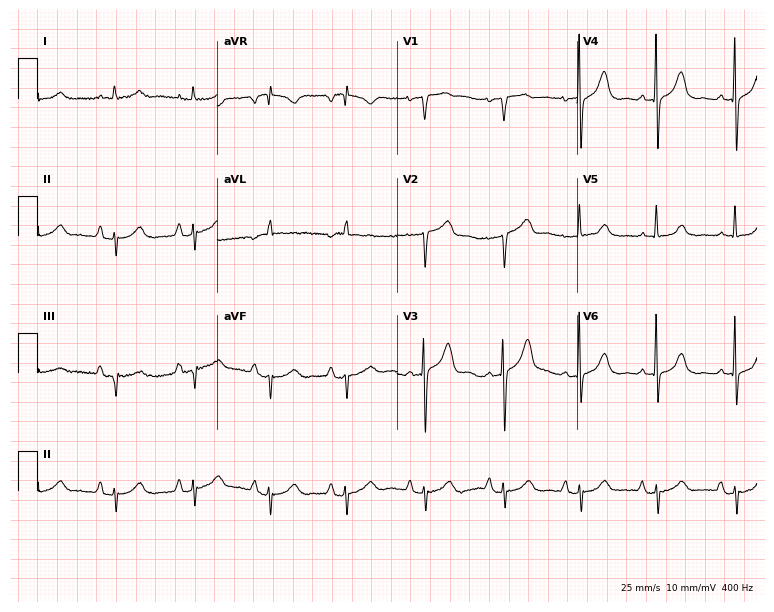
Electrocardiogram (7.3-second recording at 400 Hz), a woman, 72 years old. Of the six screened findings (first-degree AV block, right bundle branch block (RBBB), left bundle branch block (LBBB), sinus bradycardia, atrial fibrillation (AF), sinus tachycardia), none is recorded.